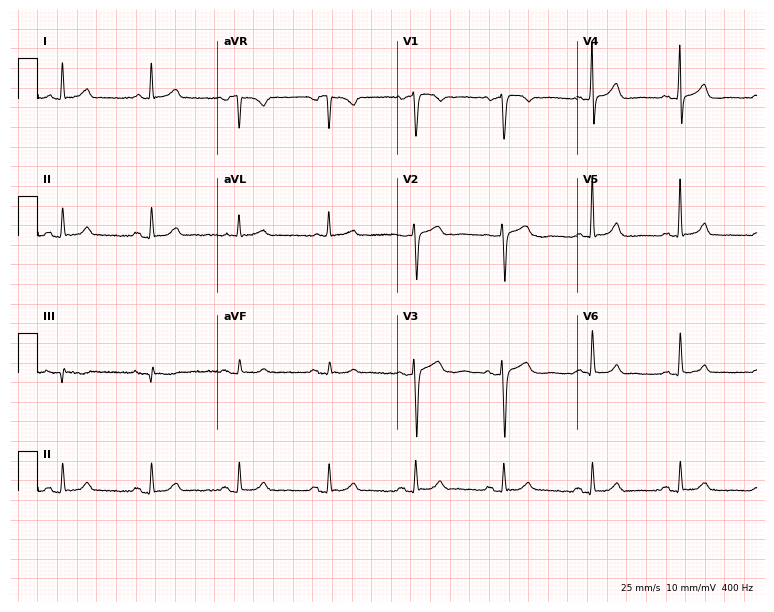
12-lead ECG from a female patient, 68 years old. Labelled as a normal ECG.